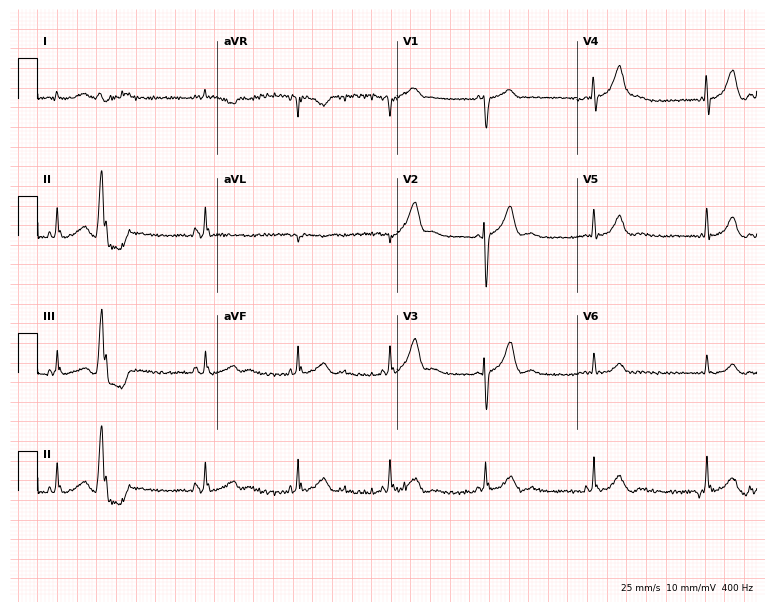
ECG — a 67-year-old man. Screened for six findings — first-degree AV block, right bundle branch block, left bundle branch block, sinus bradycardia, atrial fibrillation, sinus tachycardia — none is recorded.